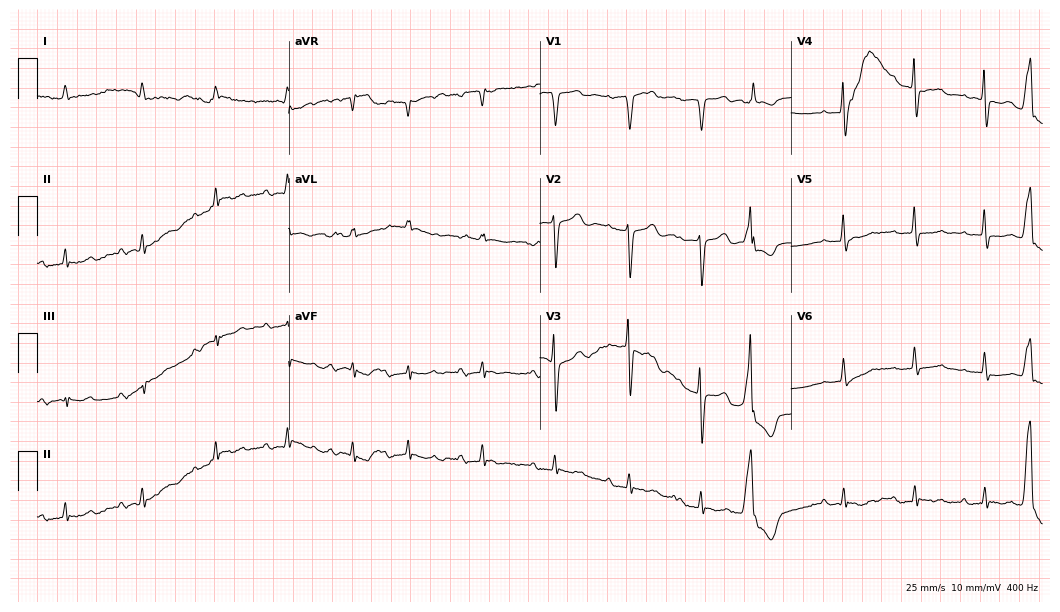
Electrocardiogram (10.2-second recording at 400 Hz), an 82-year-old male patient. Of the six screened findings (first-degree AV block, right bundle branch block, left bundle branch block, sinus bradycardia, atrial fibrillation, sinus tachycardia), none is recorded. Findings outside these six are not listed.